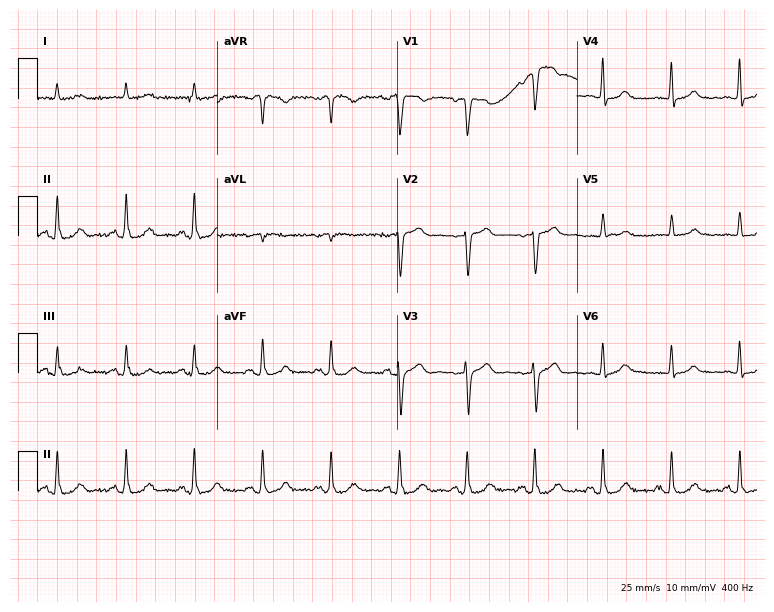
Resting 12-lead electrocardiogram (7.3-second recording at 400 Hz). Patient: a man, 80 years old. Read as a normal ECG.